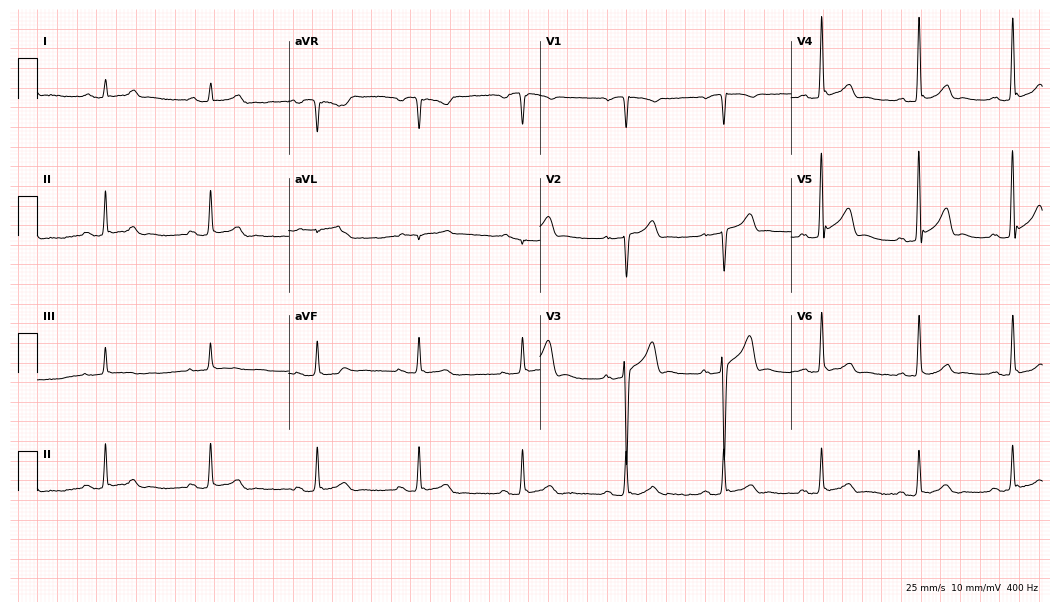
Standard 12-lead ECG recorded from a male patient, 52 years old (10.2-second recording at 400 Hz). Read as a normal ECG.